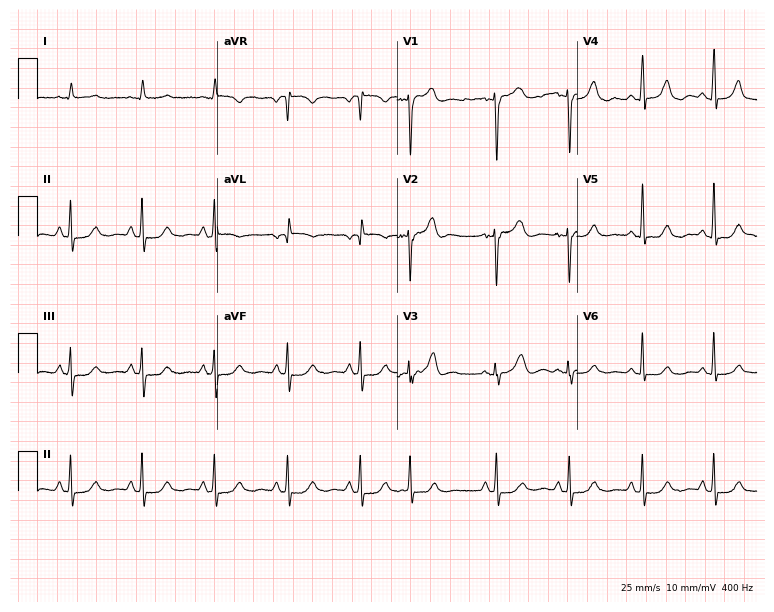
ECG — a female, 72 years old. Screened for six findings — first-degree AV block, right bundle branch block, left bundle branch block, sinus bradycardia, atrial fibrillation, sinus tachycardia — none is recorded.